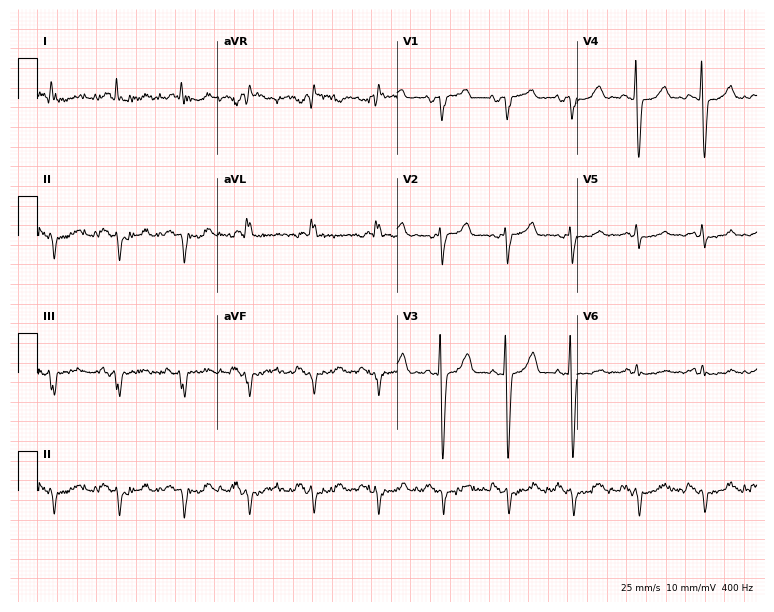
12-lead ECG from a 72-year-old woman. No first-degree AV block, right bundle branch block (RBBB), left bundle branch block (LBBB), sinus bradycardia, atrial fibrillation (AF) or sinus tachycardia recorded for this tracing.